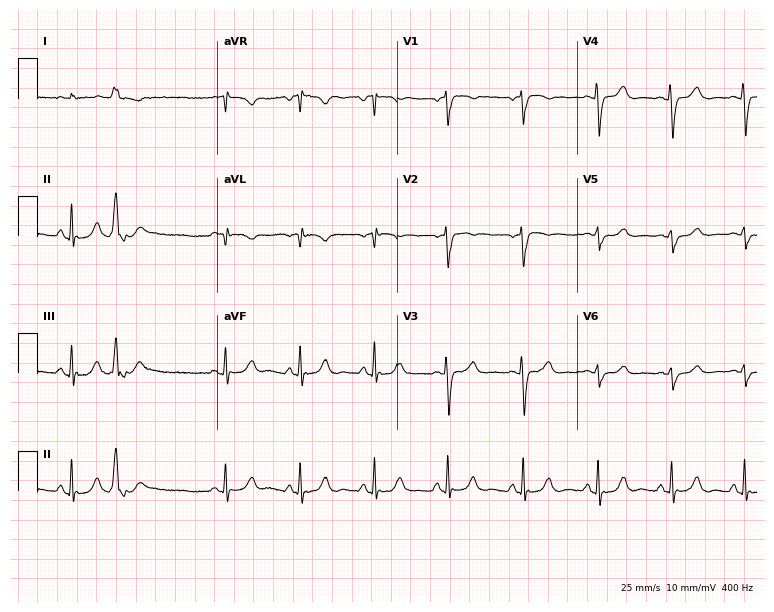
12-lead ECG from a male, 78 years old. Screened for six findings — first-degree AV block, right bundle branch block, left bundle branch block, sinus bradycardia, atrial fibrillation, sinus tachycardia — none is recorded. Findings outside these six are not listed.